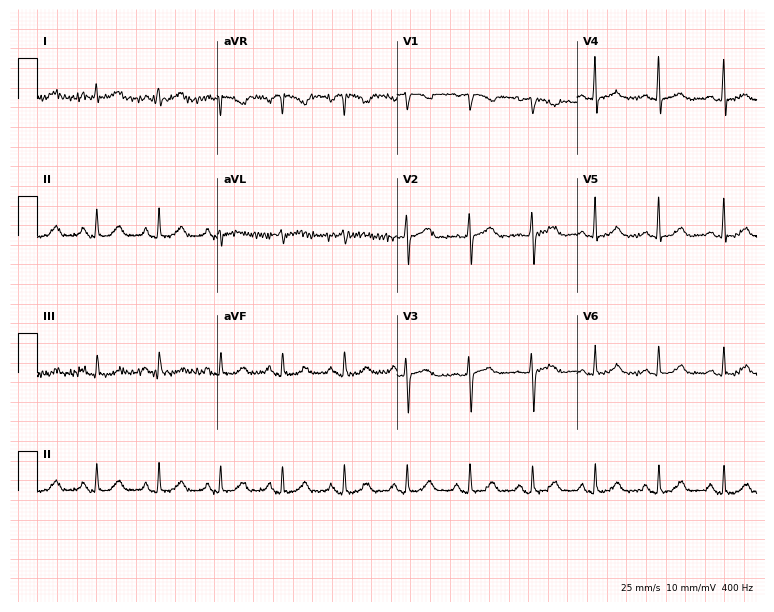
ECG — a female, 68 years old. Screened for six findings — first-degree AV block, right bundle branch block, left bundle branch block, sinus bradycardia, atrial fibrillation, sinus tachycardia — none is recorded.